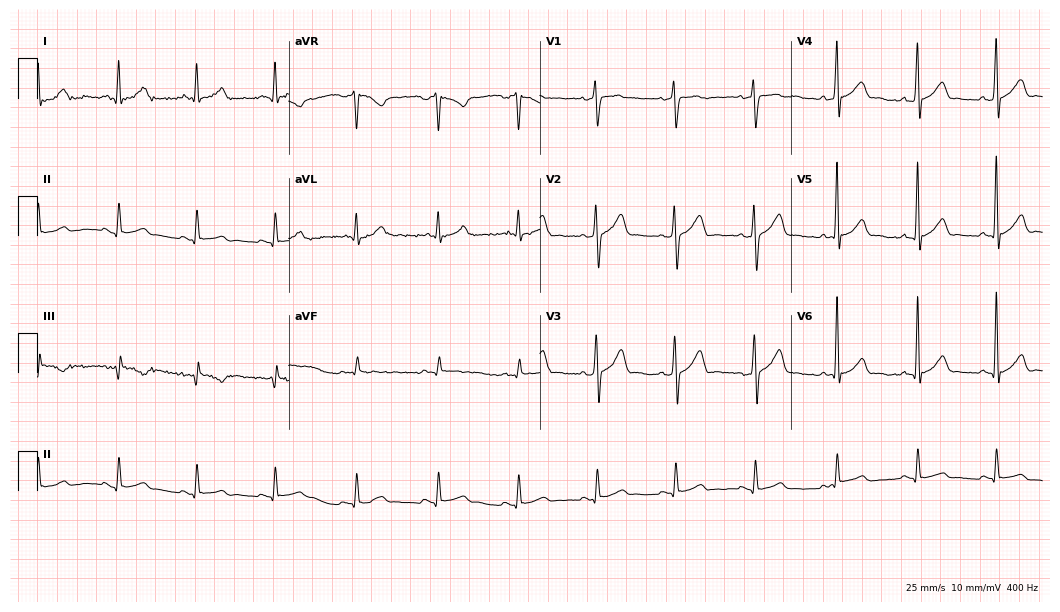
ECG — a 30-year-old male. Labelled as a normal ECG.